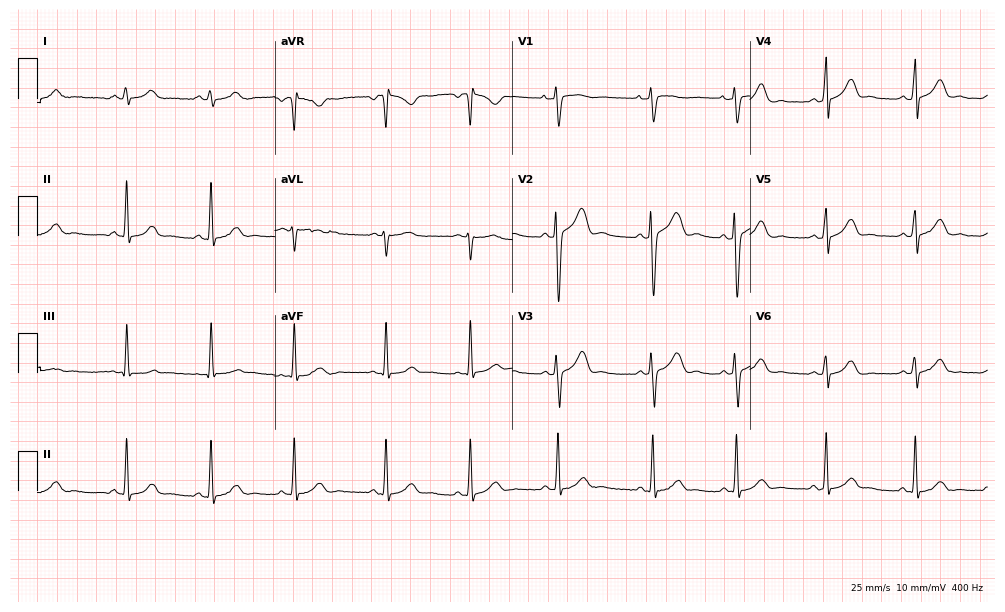
12-lead ECG from a 20-year-old female (9.7-second recording at 400 Hz). Recorded interpretation: within normal limits.